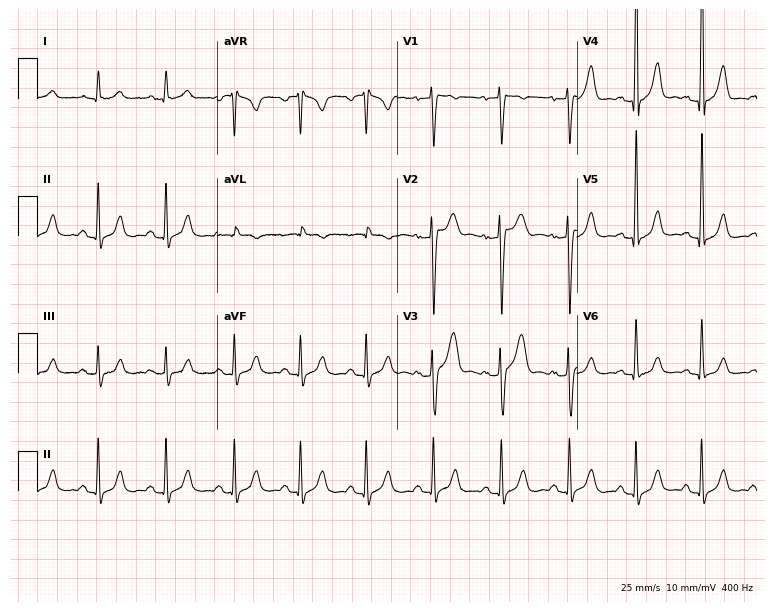
Standard 12-lead ECG recorded from a male, 42 years old. Read as a normal ECG.